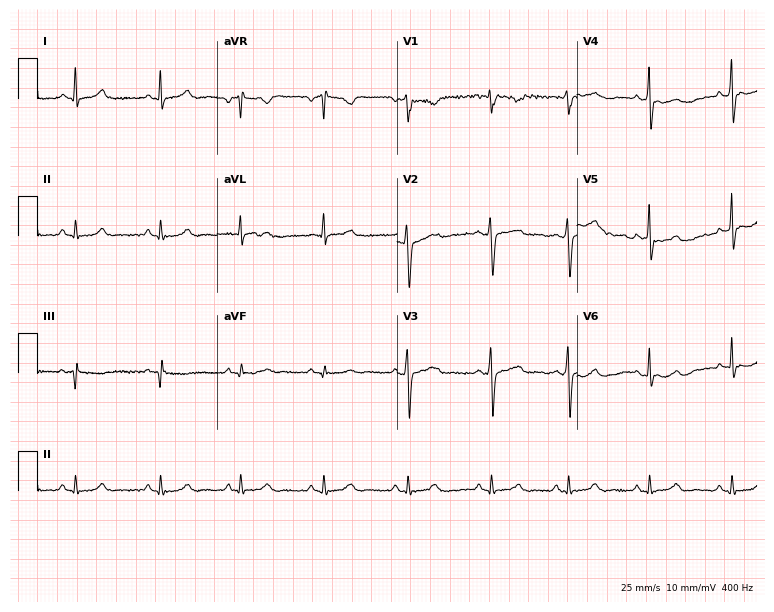
ECG (7.3-second recording at 400 Hz) — a female, 30 years old. Labelled as a normal ECG.